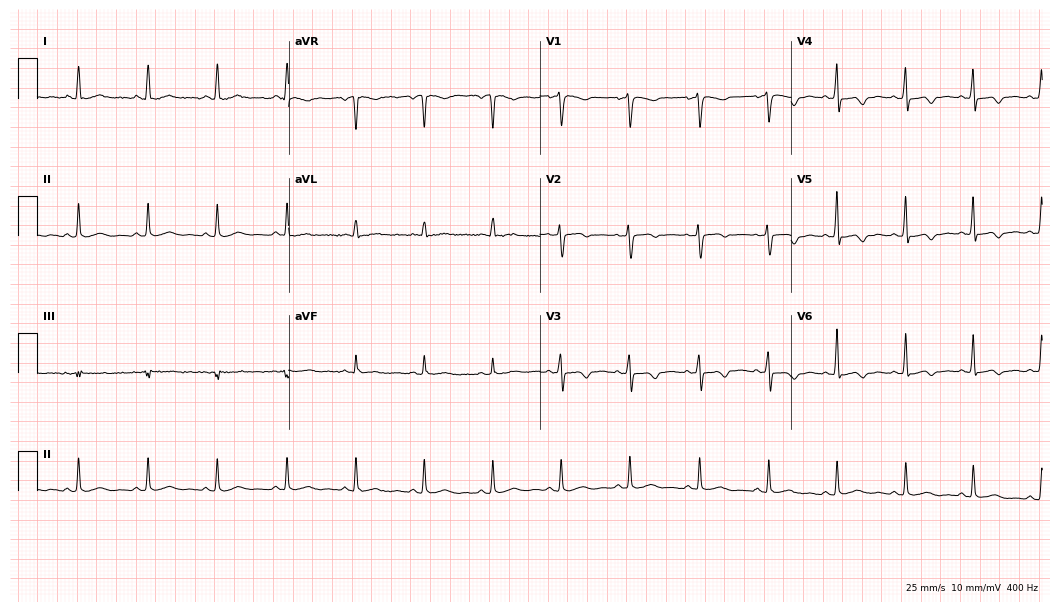
Resting 12-lead electrocardiogram (10.2-second recording at 400 Hz). Patient: a 56-year-old woman. None of these six findings is recorded: first-degree AV block, right bundle branch block (RBBB), left bundle branch block (LBBB), sinus bradycardia, atrial fibrillation (AF), sinus tachycardia. Only these six findings were labelled.